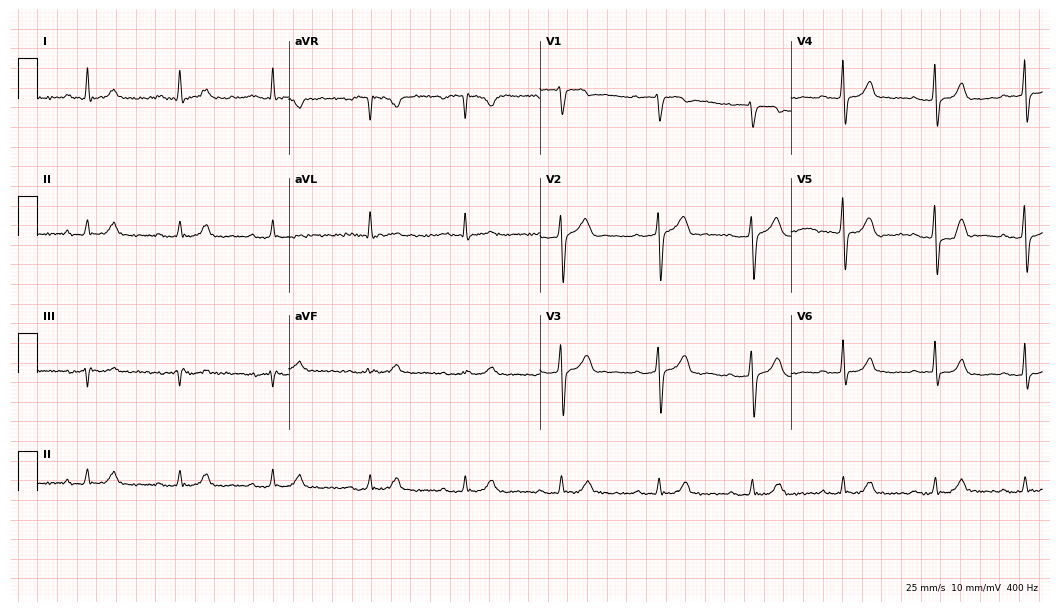
Electrocardiogram, a male, 65 years old. Overall reading on record: normal ECG.